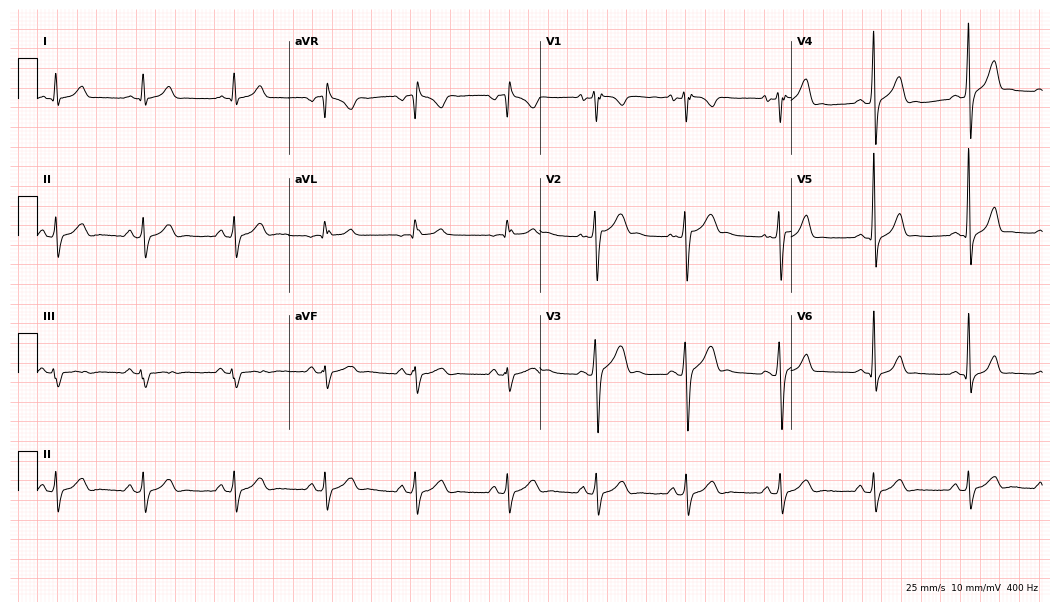
Electrocardiogram (10.2-second recording at 400 Hz), a man, 27 years old. Of the six screened findings (first-degree AV block, right bundle branch block, left bundle branch block, sinus bradycardia, atrial fibrillation, sinus tachycardia), none is recorded. Only these six findings were labelled.